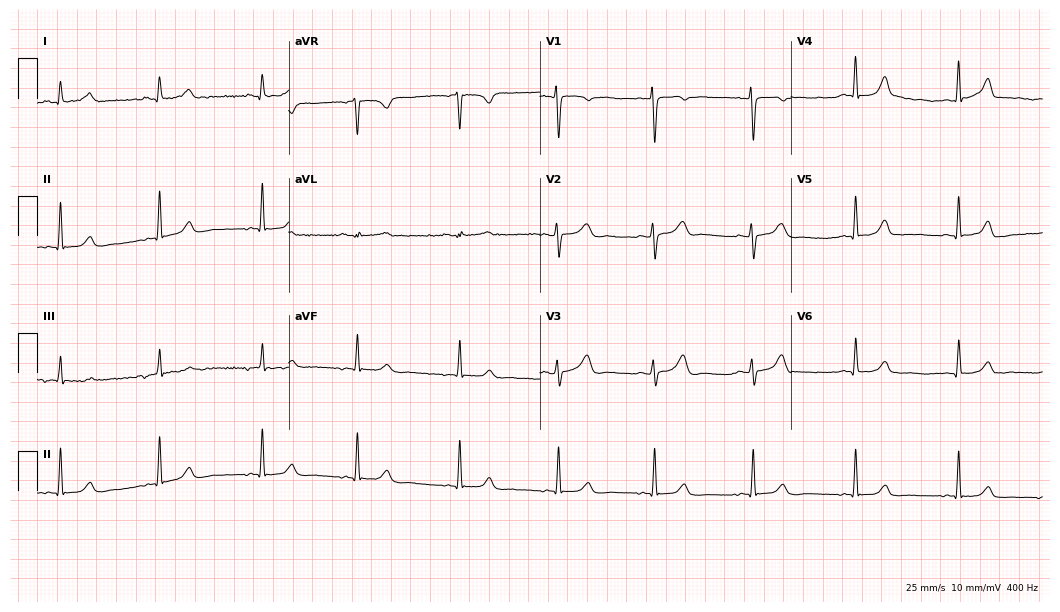
12-lead ECG from a 27-year-old woman. No first-degree AV block, right bundle branch block (RBBB), left bundle branch block (LBBB), sinus bradycardia, atrial fibrillation (AF) or sinus tachycardia recorded for this tracing. Other findings, if any, are not listed.